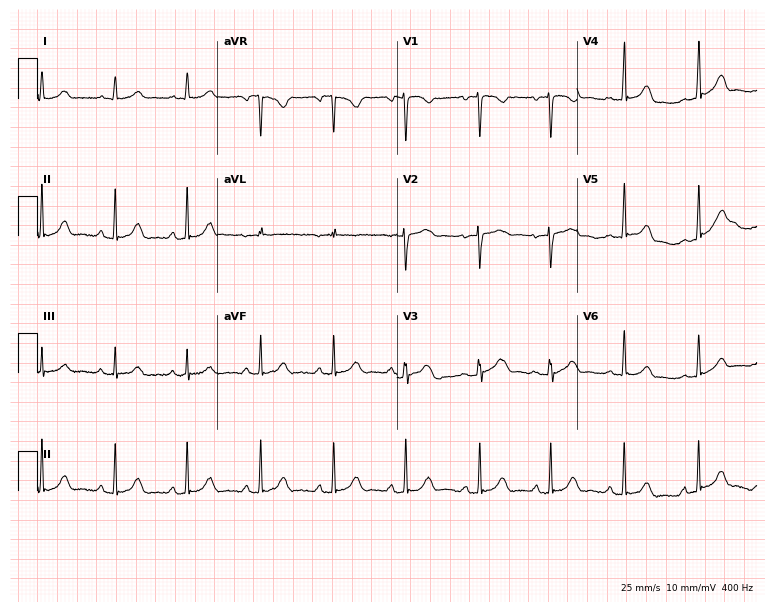
Standard 12-lead ECG recorded from a 17-year-old female (7.3-second recording at 400 Hz). Read as a normal ECG.